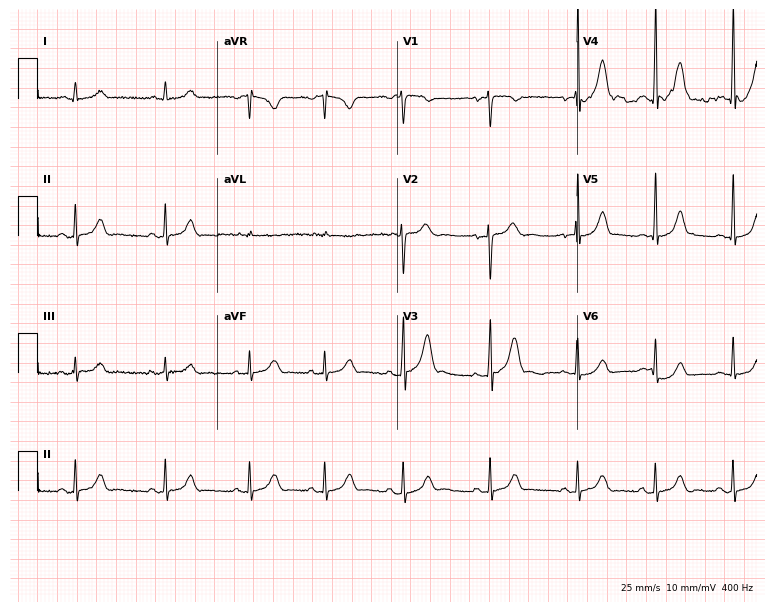
12-lead ECG from a man, 20 years old. Recorded interpretation: within normal limits.